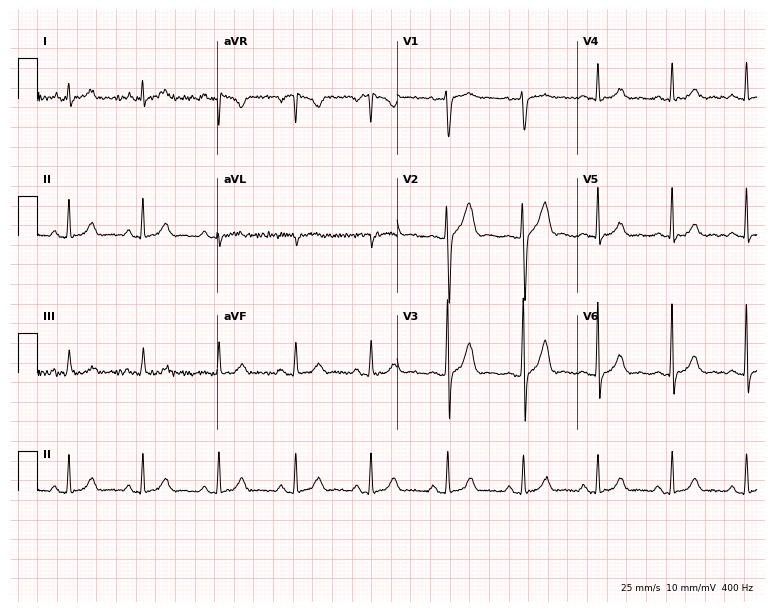
12-lead ECG from a male, 38 years old. No first-degree AV block, right bundle branch block (RBBB), left bundle branch block (LBBB), sinus bradycardia, atrial fibrillation (AF) or sinus tachycardia recorded for this tracing. Only these six findings were labelled.